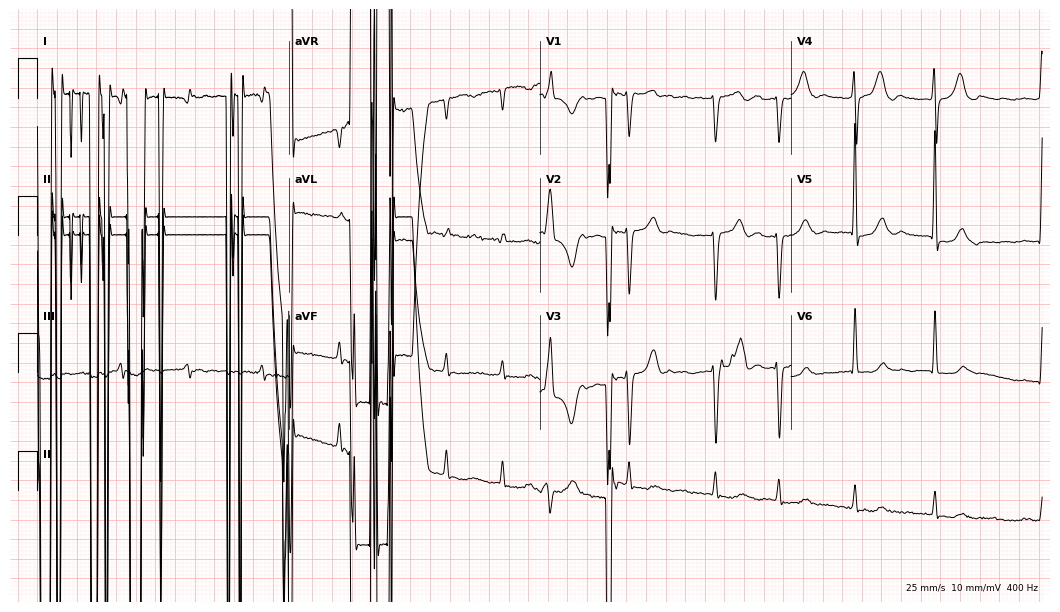
Standard 12-lead ECG recorded from an 85-year-old woman (10.2-second recording at 400 Hz). The tracing shows atrial fibrillation (AF).